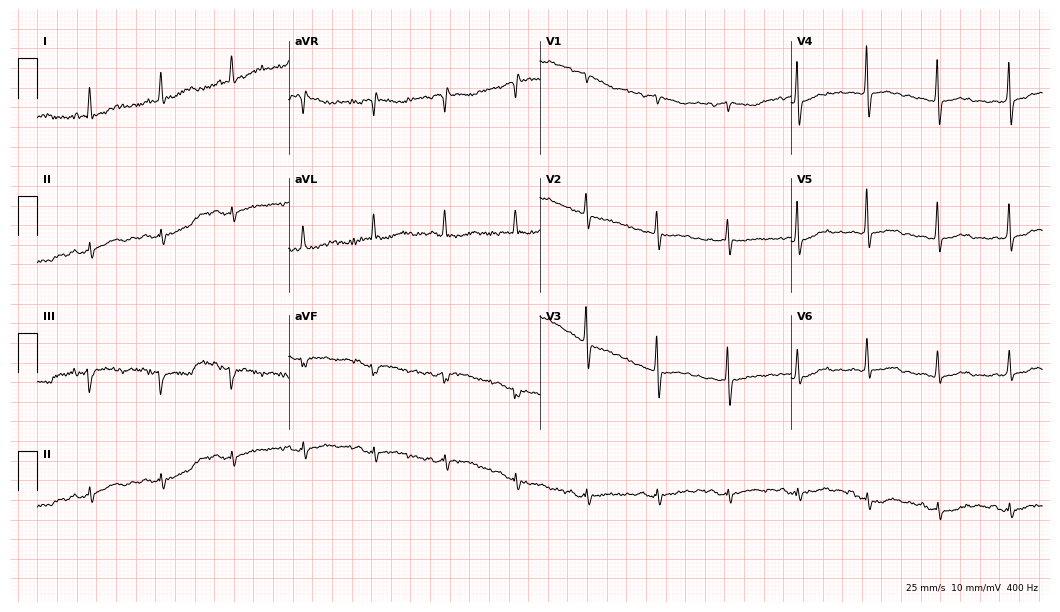
Electrocardiogram, a woman, 69 years old. Of the six screened findings (first-degree AV block, right bundle branch block, left bundle branch block, sinus bradycardia, atrial fibrillation, sinus tachycardia), none is recorded. Findings outside these six are not listed.